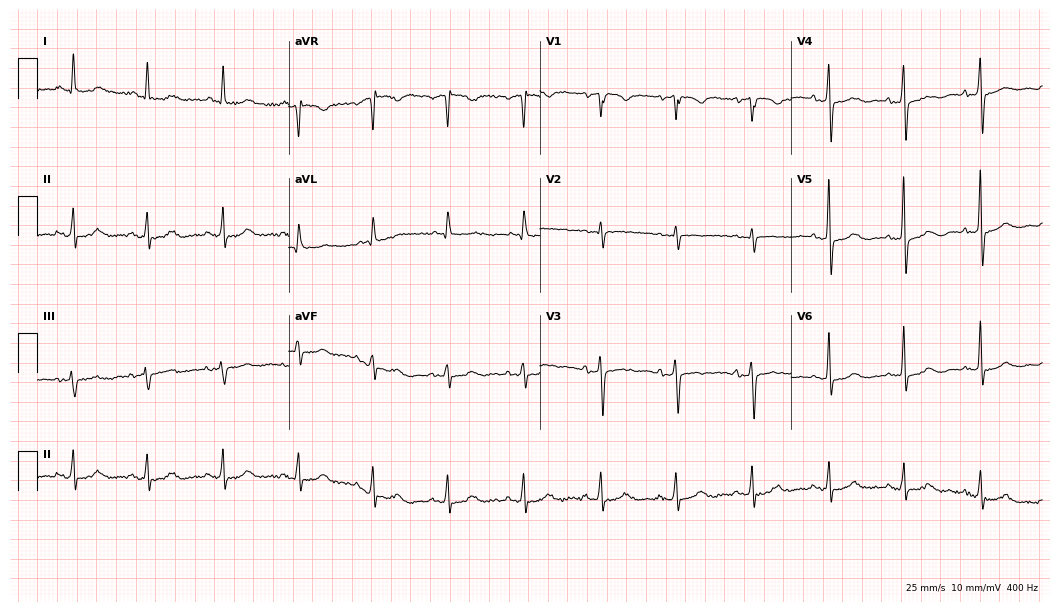
ECG (10.2-second recording at 400 Hz) — a female, 75 years old. Labelled as a normal ECG.